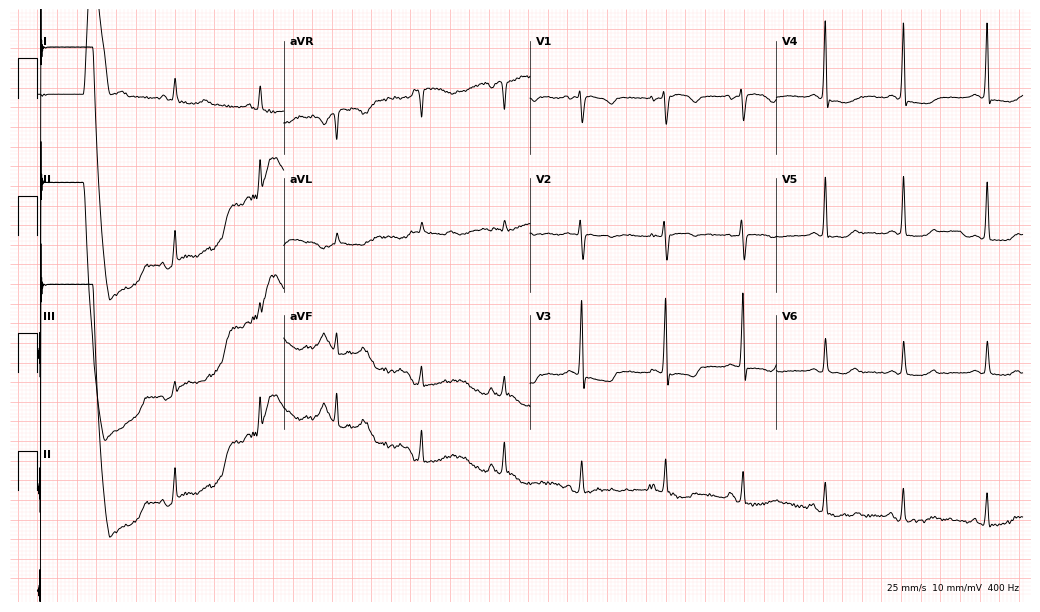
Standard 12-lead ECG recorded from a female patient, 80 years old. None of these six findings is recorded: first-degree AV block, right bundle branch block, left bundle branch block, sinus bradycardia, atrial fibrillation, sinus tachycardia. Only these six findings were labelled.